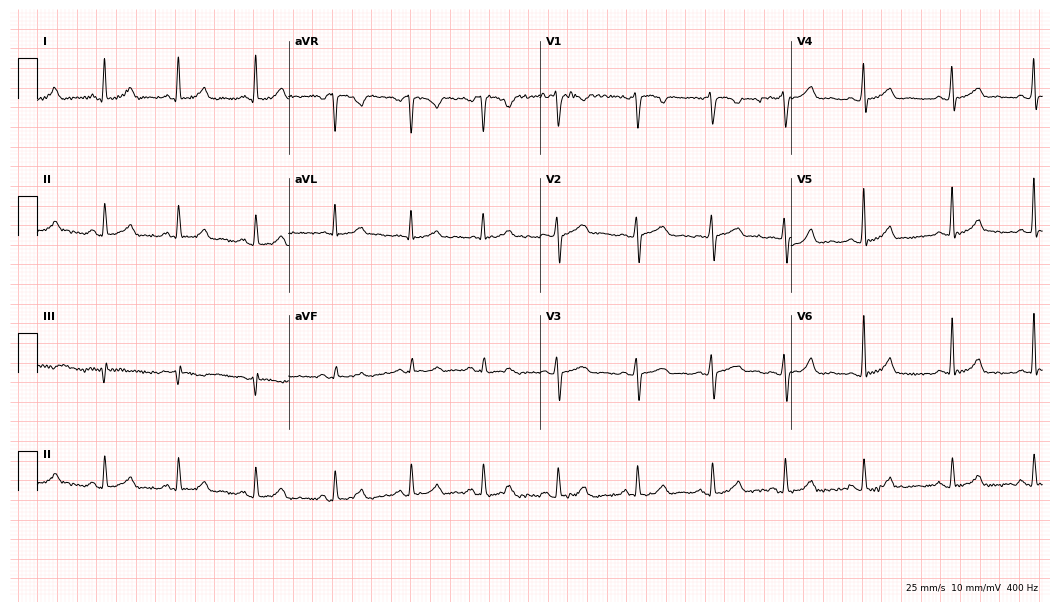
Resting 12-lead electrocardiogram. Patient: a 33-year-old woman. Read as a normal ECG.